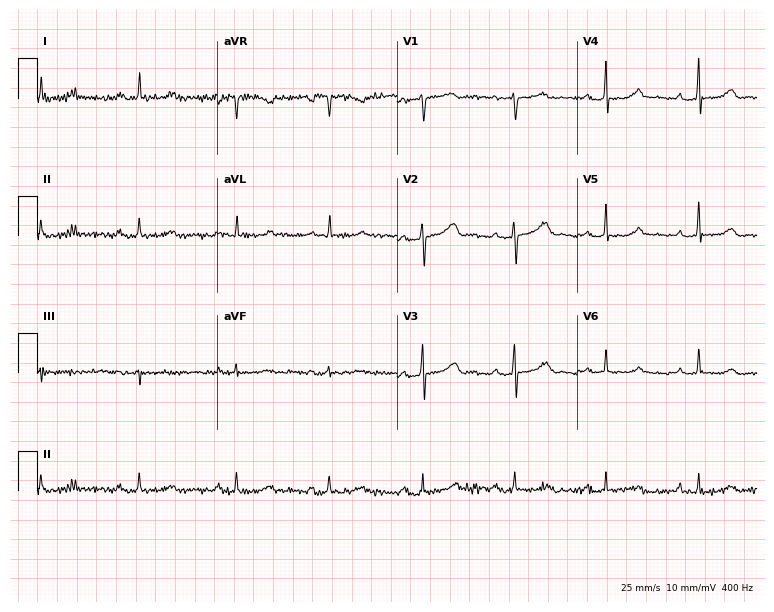
ECG — a 58-year-old woman. Labelled as a normal ECG.